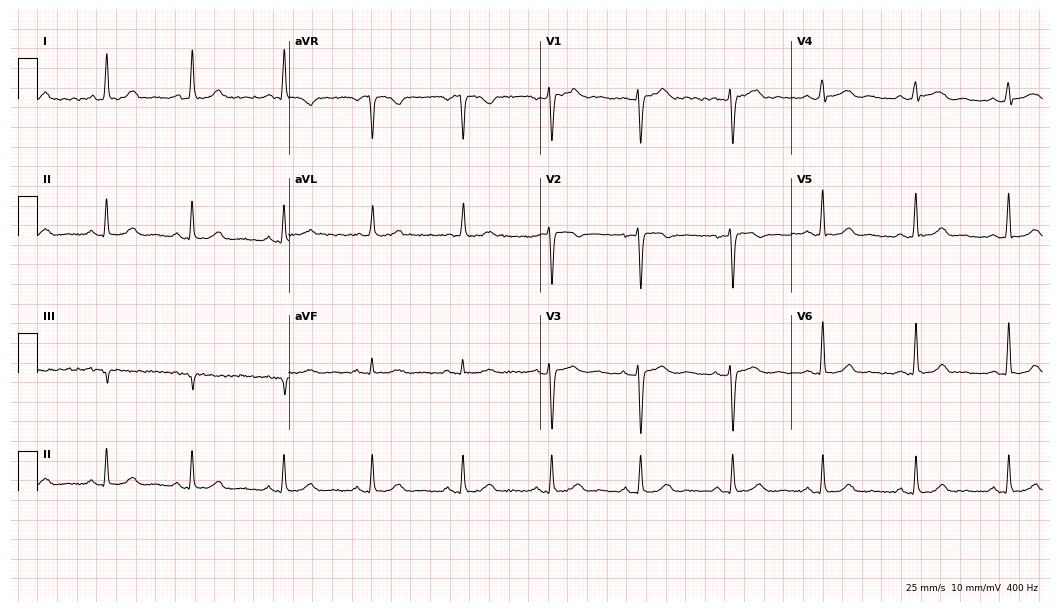
ECG — a 34-year-old woman. Labelled as a normal ECG.